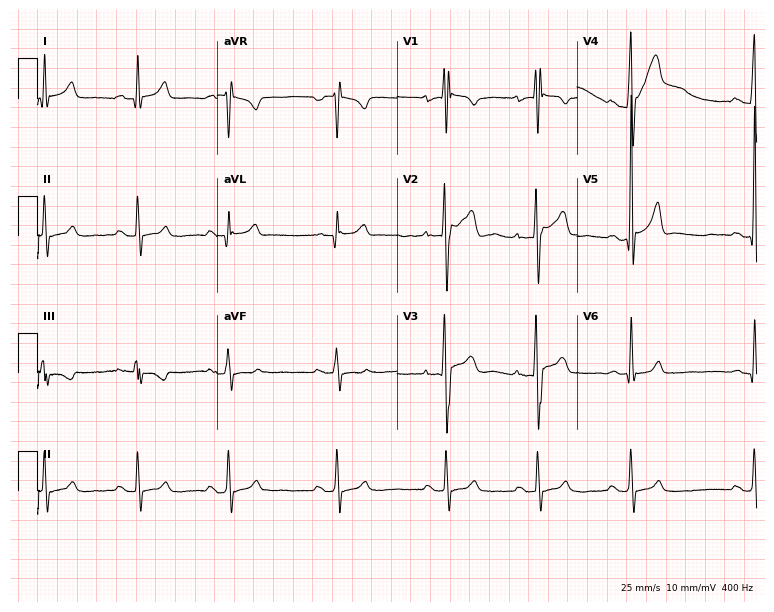
Standard 12-lead ECG recorded from a man, 20 years old (7.3-second recording at 400 Hz). None of these six findings is recorded: first-degree AV block, right bundle branch block, left bundle branch block, sinus bradycardia, atrial fibrillation, sinus tachycardia. Only these six findings were labelled.